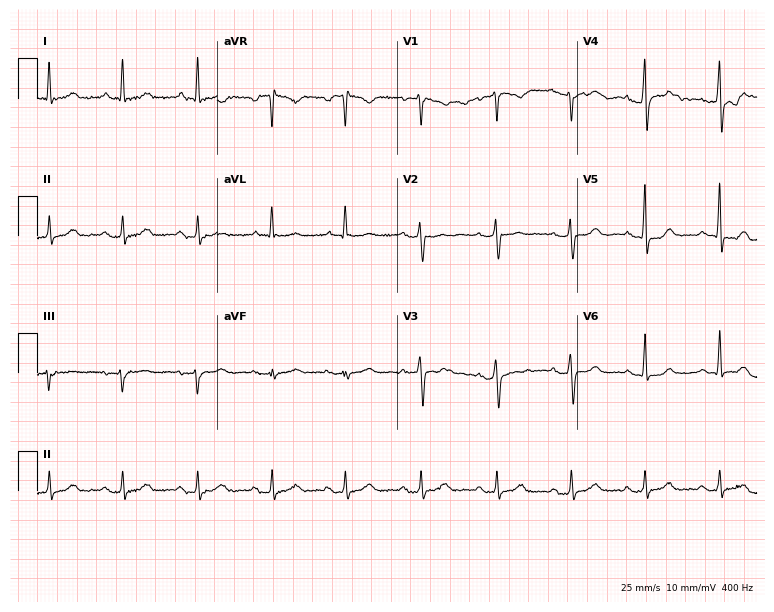
Electrocardiogram, a 62-year-old woman. Of the six screened findings (first-degree AV block, right bundle branch block, left bundle branch block, sinus bradycardia, atrial fibrillation, sinus tachycardia), none is recorded.